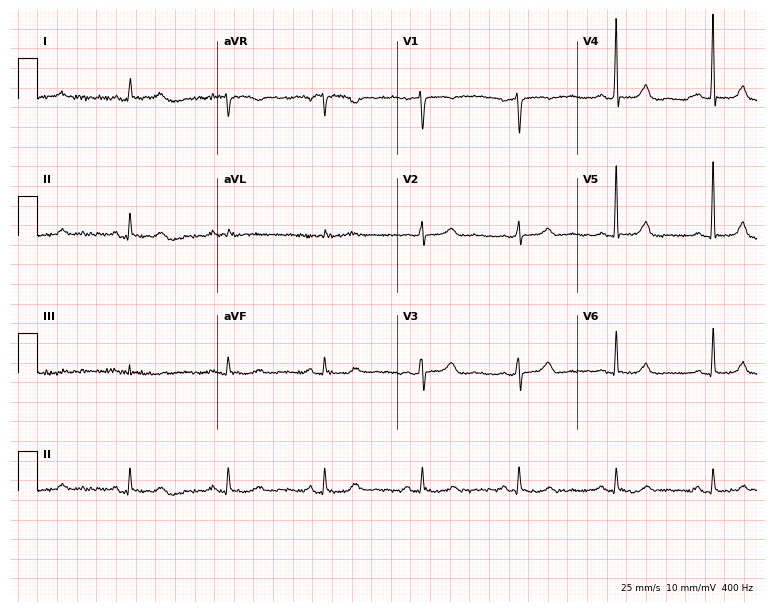
12-lead ECG from an 80-year-old male. No first-degree AV block, right bundle branch block, left bundle branch block, sinus bradycardia, atrial fibrillation or sinus tachycardia recorded for this tracing. Findings outside these six are not listed.